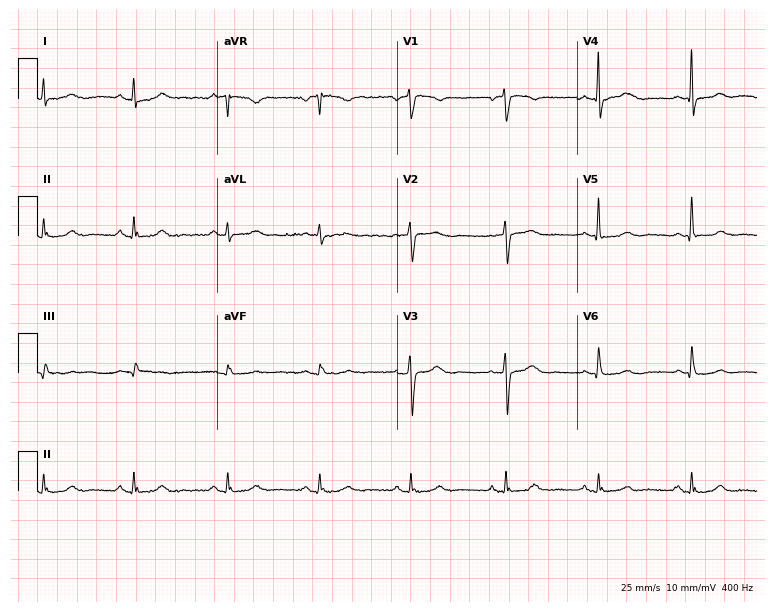
Standard 12-lead ECG recorded from a 77-year-old female patient. None of these six findings is recorded: first-degree AV block, right bundle branch block, left bundle branch block, sinus bradycardia, atrial fibrillation, sinus tachycardia. Only these six findings were labelled.